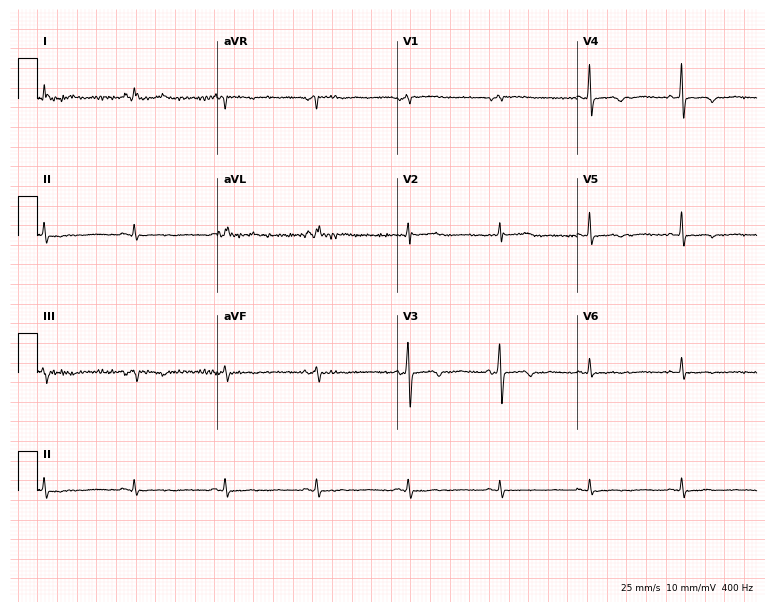
Resting 12-lead electrocardiogram. Patient: a 74-year-old female. None of these six findings is recorded: first-degree AV block, right bundle branch block, left bundle branch block, sinus bradycardia, atrial fibrillation, sinus tachycardia. Findings outside these six are not listed.